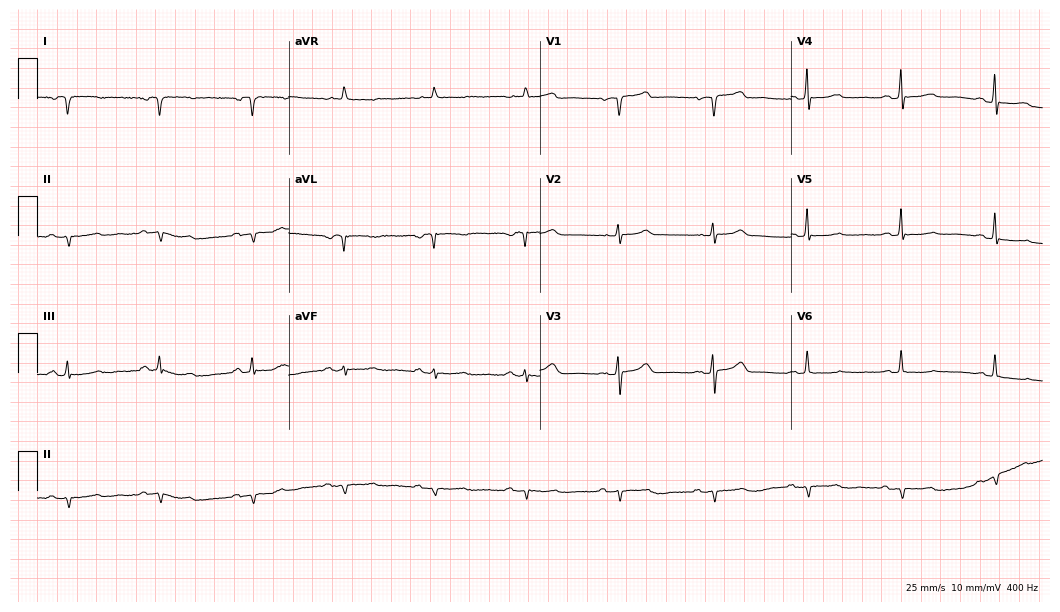
12-lead ECG from a female, 65 years old (10.2-second recording at 400 Hz). No first-degree AV block, right bundle branch block, left bundle branch block, sinus bradycardia, atrial fibrillation or sinus tachycardia recorded for this tracing. Only these six findings were labelled.